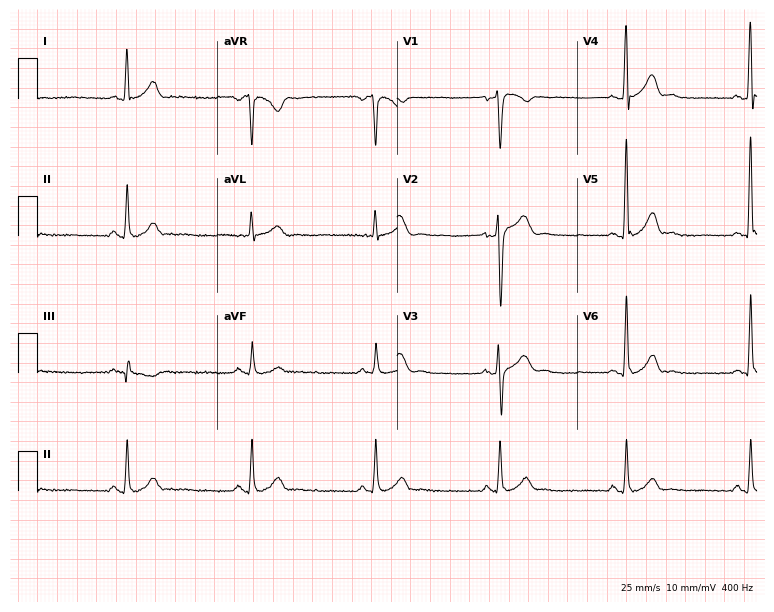
Standard 12-lead ECG recorded from a 52-year-old man (7.3-second recording at 400 Hz). None of these six findings is recorded: first-degree AV block, right bundle branch block, left bundle branch block, sinus bradycardia, atrial fibrillation, sinus tachycardia.